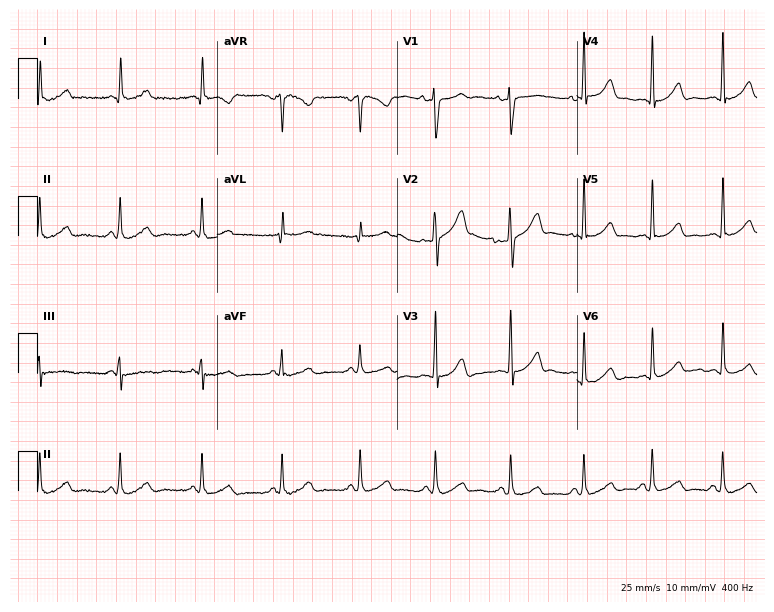
ECG (7.3-second recording at 400 Hz) — a female, 36 years old. Labelled as a normal ECG.